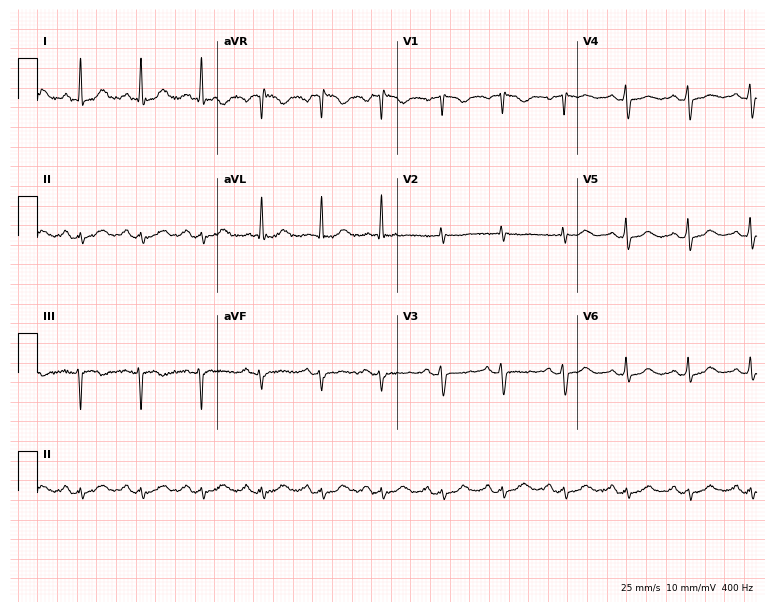
12-lead ECG from a female, 70 years old. Screened for six findings — first-degree AV block, right bundle branch block, left bundle branch block, sinus bradycardia, atrial fibrillation, sinus tachycardia — none is recorded. Findings outside these six are not listed.